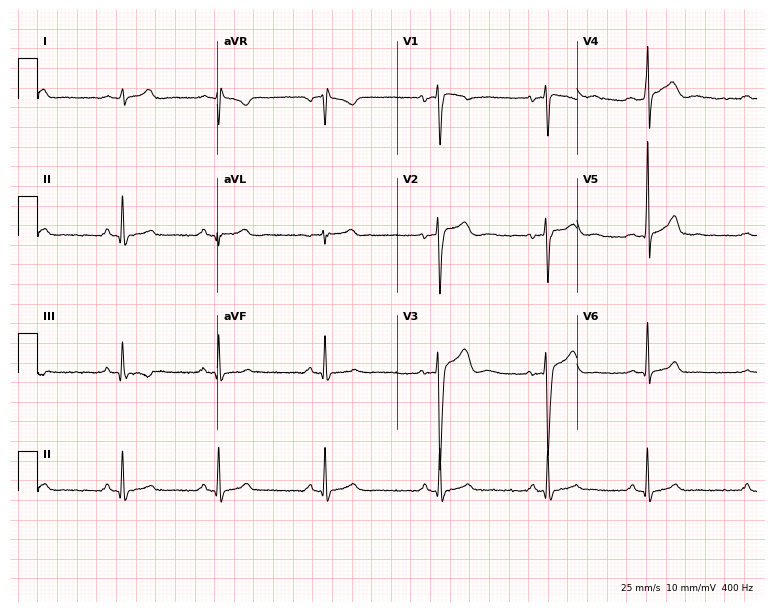
Standard 12-lead ECG recorded from an 18-year-old male patient. Read as a normal ECG.